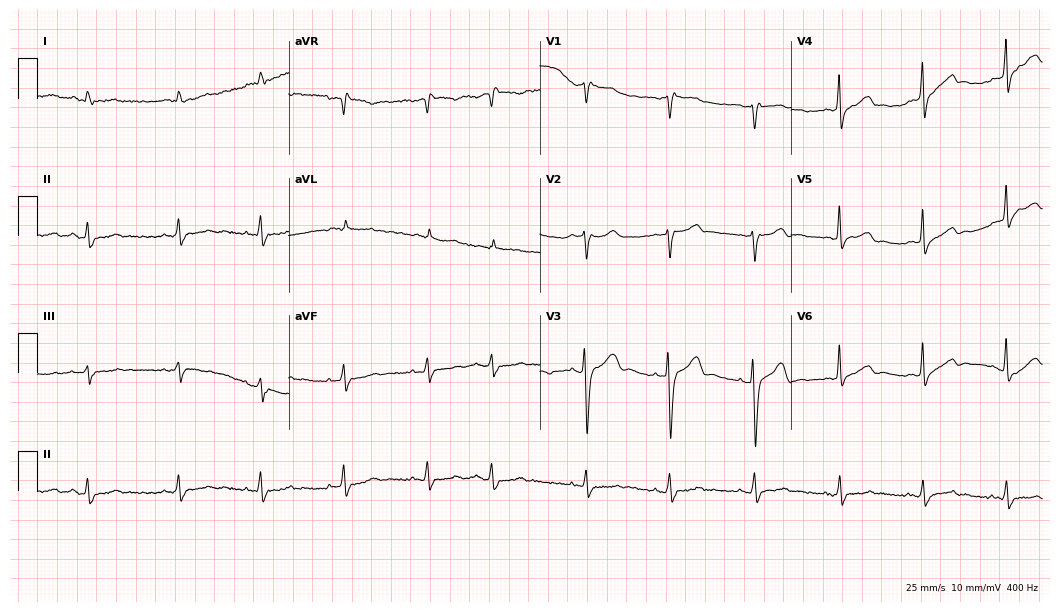
ECG — a male, 82 years old. Screened for six findings — first-degree AV block, right bundle branch block, left bundle branch block, sinus bradycardia, atrial fibrillation, sinus tachycardia — none is recorded. Other findings, if any, are not listed.